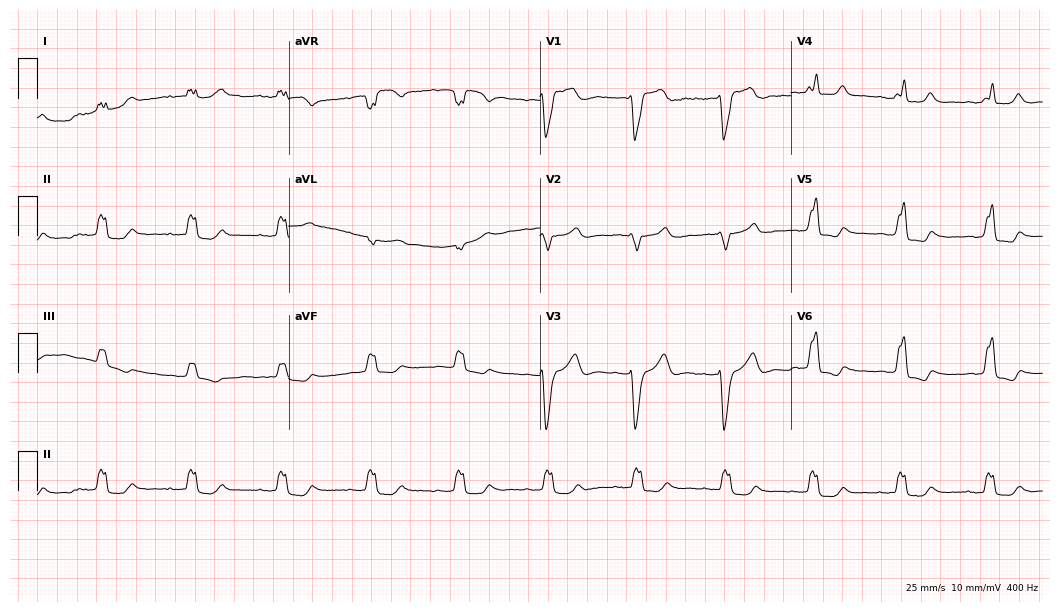
Standard 12-lead ECG recorded from a 77-year-old male patient. The tracing shows left bundle branch block.